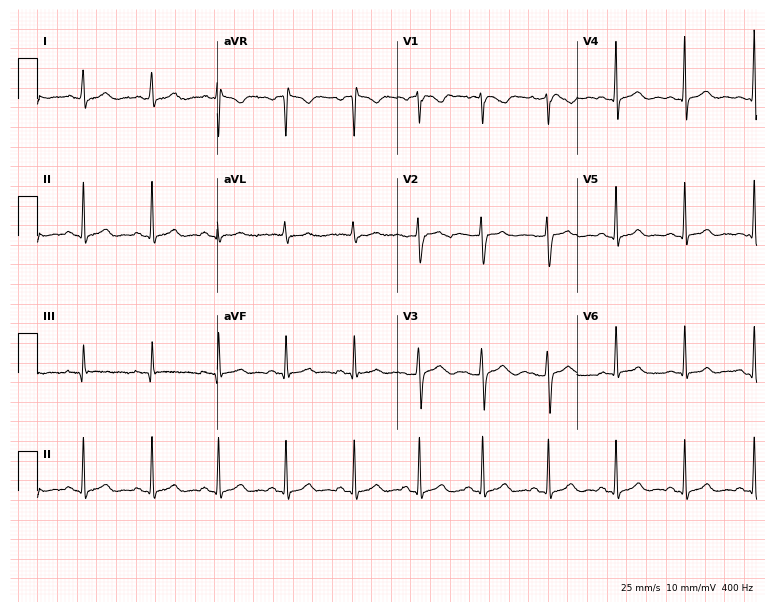
Standard 12-lead ECG recorded from a female patient, 21 years old (7.3-second recording at 400 Hz). Read as a normal ECG.